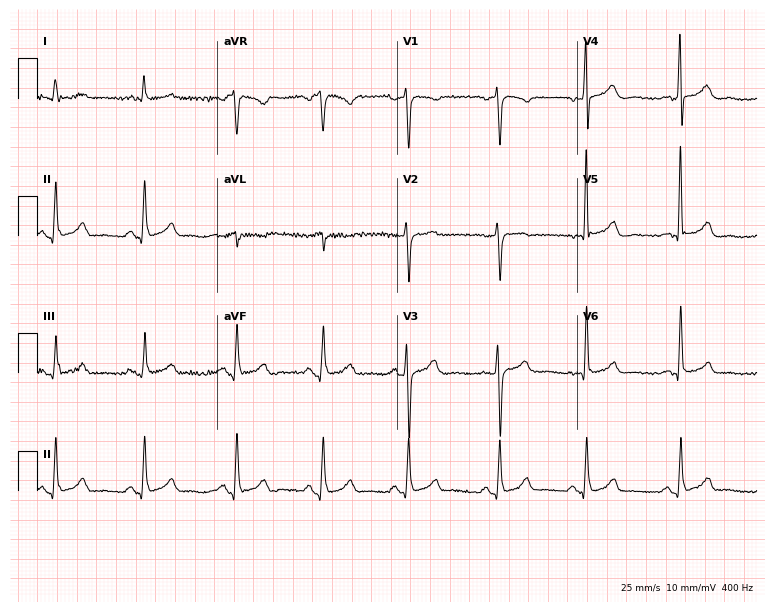
ECG (7.3-second recording at 400 Hz) — a man, 62 years old. Screened for six findings — first-degree AV block, right bundle branch block, left bundle branch block, sinus bradycardia, atrial fibrillation, sinus tachycardia — none is recorded. Other findings, if any, are not listed.